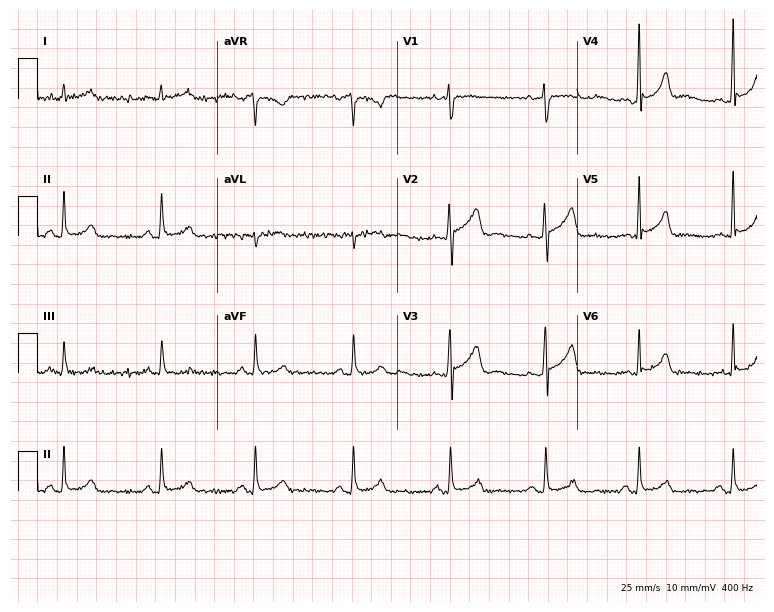
12-lead ECG from a male patient, 44 years old (7.3-second recording at 400 Hz). Recorded interpretation: within normal limits.